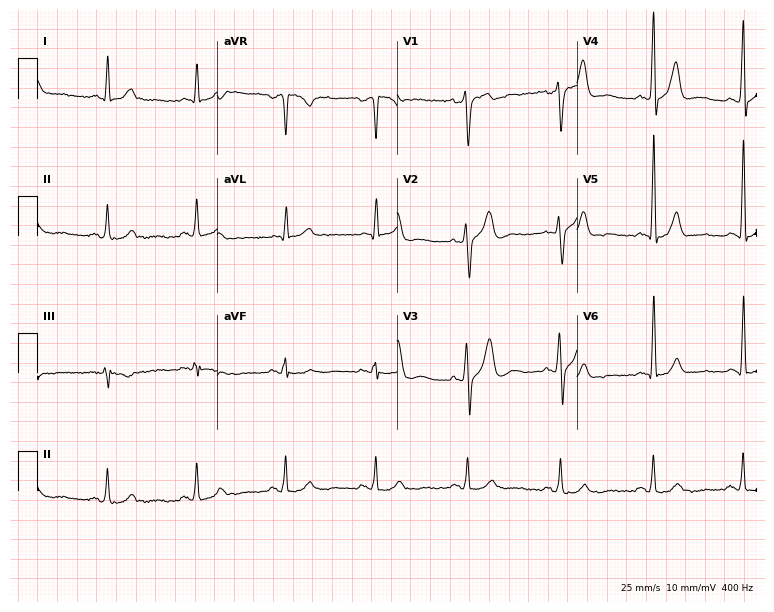
Standard 12-lead ECG recorded from a 68-year-old male (7.3-second recording at 400 Hz). None of these six findings is recorded: first-degree AV block, right bundle branch block, left bundle branch block, sinus bradycardia, atrial fibrillation, sinus tachycardia. Only these six findings were labelled.